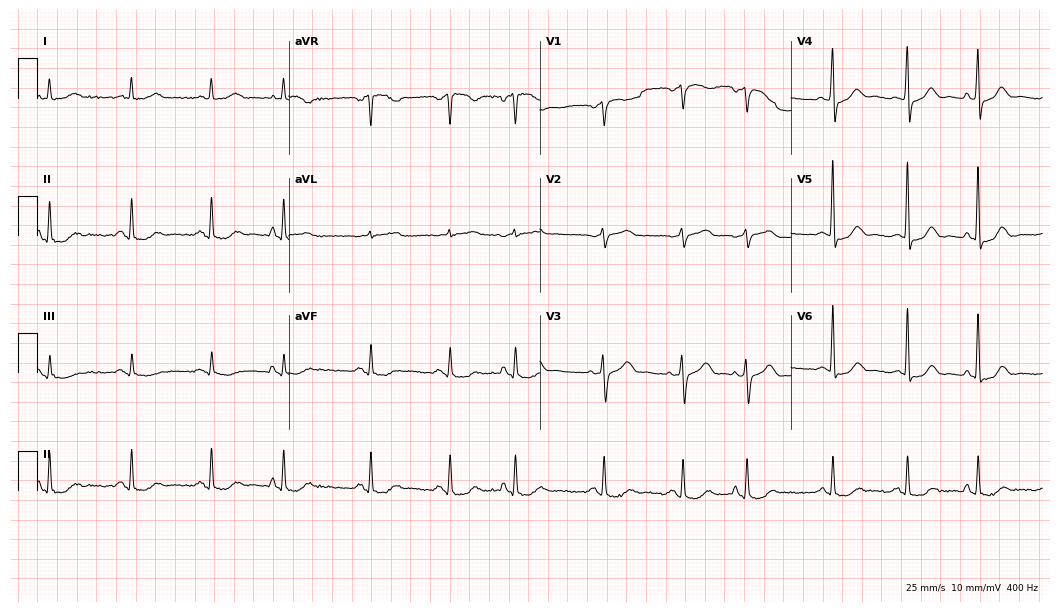
12-lead ECG (10.2-second recording at 400 Hz) from a woman, 83 years old. Screened for six findings — first-degree AV block, right bundle branch block, left bundle branch block, sinus bradycardia, atrial fibrillation, sinus tachycardia — none is recorded. Only these six findings were labelled.